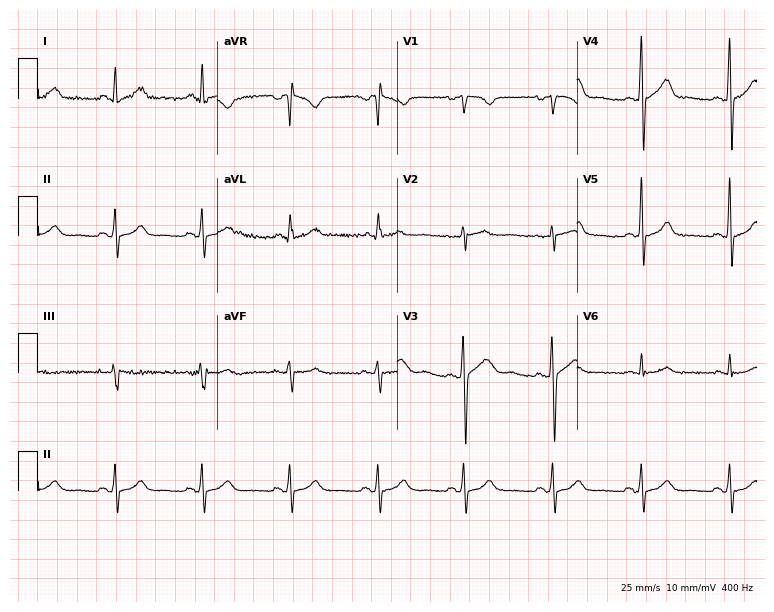
Electrocardiogram, a woman, 43 years old. Overall reading on record: normal ECG.